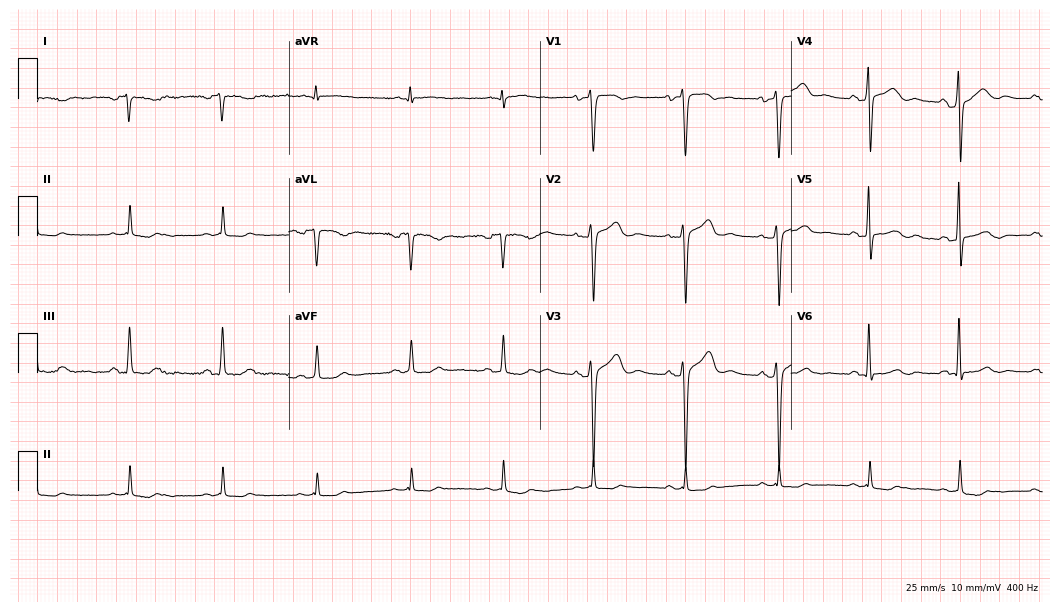
12-lead ECG from a female, 46 years old. Screened for six findings — first-degree AV block, right bundle branch block, left bundle branch block, sinus bradycardia, atrial fibrillation, sinus tachycardia — none is recorded.